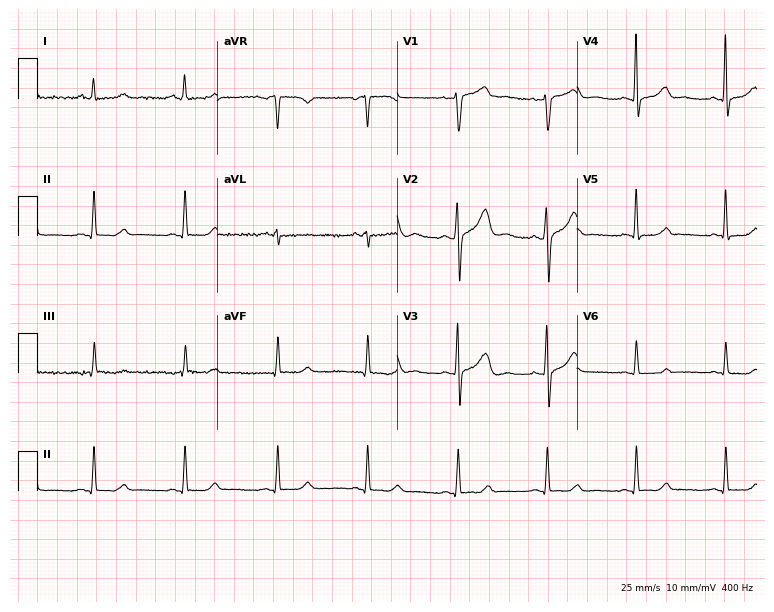
12-lead ECG from a 54-year-old female patient. Screened for six findings — first-degree AV block, right bundle branch block, left bundle branch block, sinus bradycardia, atrial fibrillation, sinus tachycardia — none is recorded. Only these six findings were labelled.